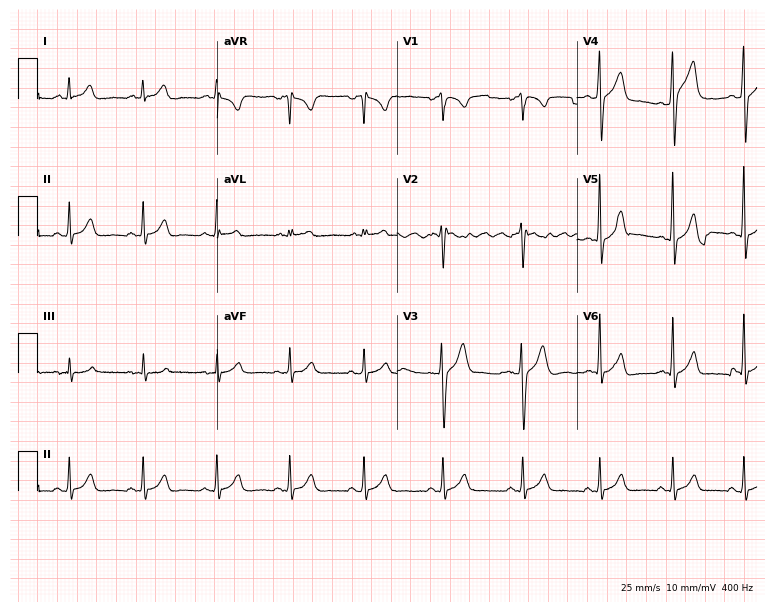
12-lead ECG from a 29-year-old man. No first-degree AV block, right bundle branch block (RBBB), left bundle branch block (LBBB), sinus bradycardia, atrial fibrillation (AF) or sinus tachycardia recorded for this tracing. Other findings, if any, are not listed.